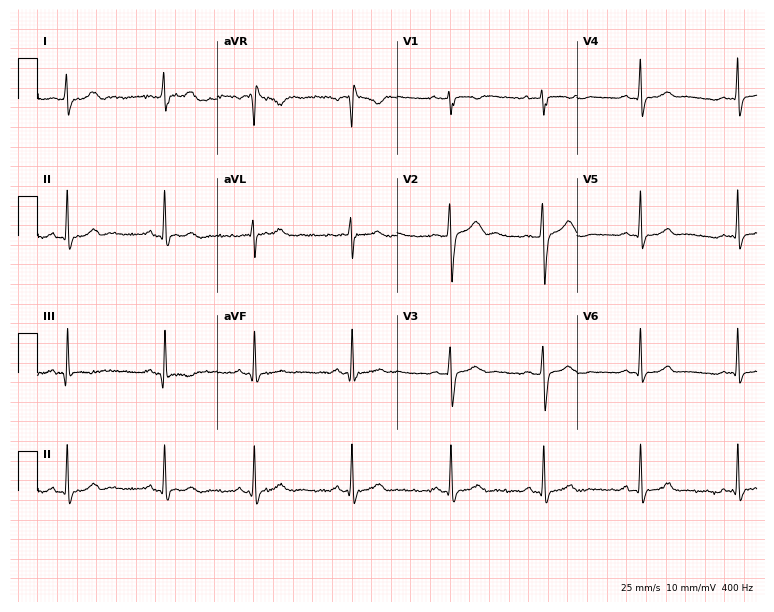
ECG — a 23-year-old woman. Labelled as a normal ECG.